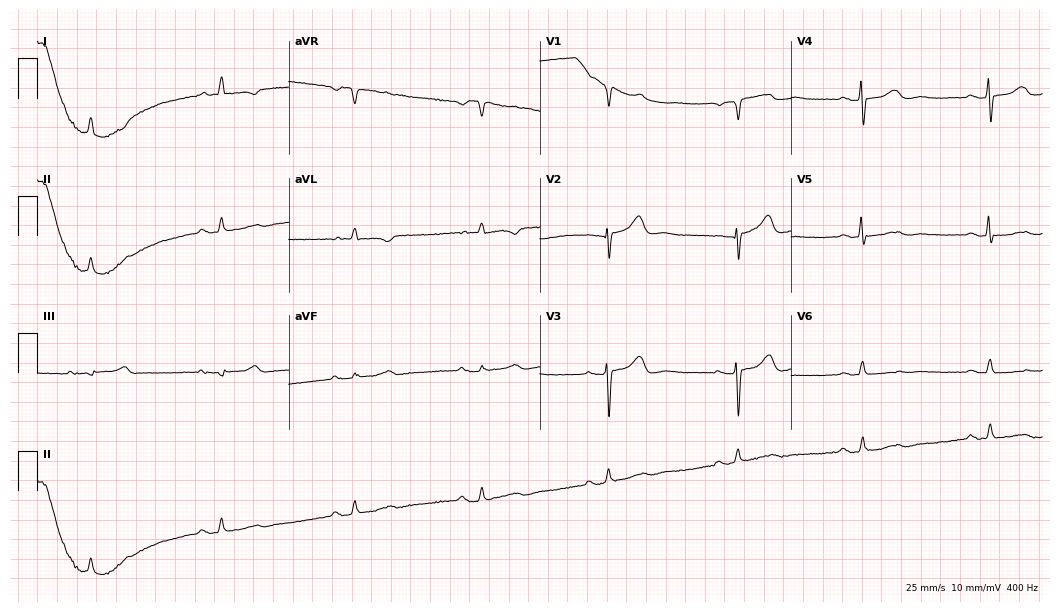
12-lead ECG from a female, 82 years old. No first-degree AV block, right bundle branch block (RBBB), left bundle branch block (LBBB), sinus bradycardia, atrial fibrillation (AF) or sinus tachycardia recorded for this tracing.